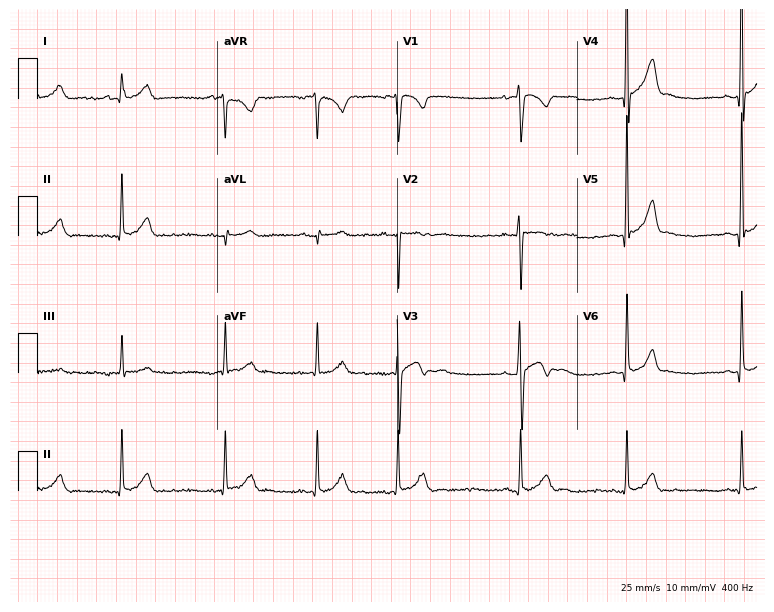
Electrocardiogram (7.3-second recording at 400 Hz), an 18-year-old man. Overall reading on record: normal ECG.